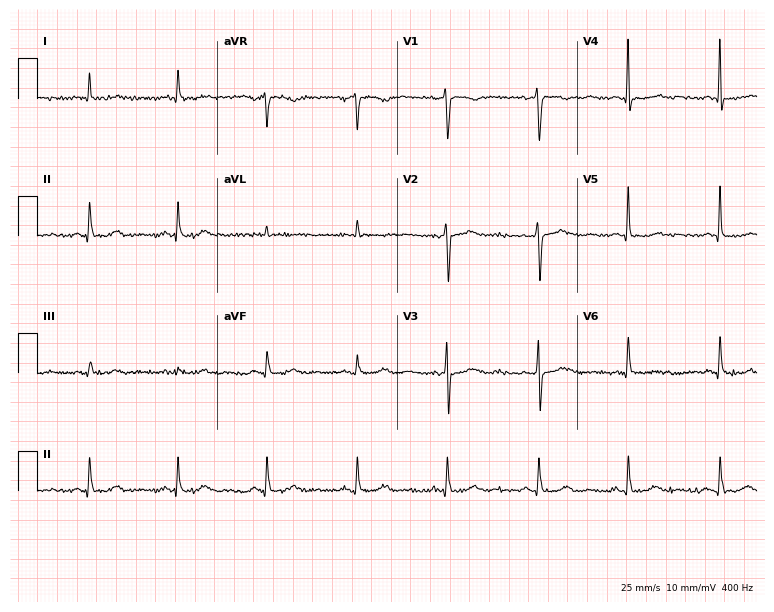
ECG (7.3-second recording at 400 Hz) — a female patient, 56 years old. Labelled as a normal ECG.